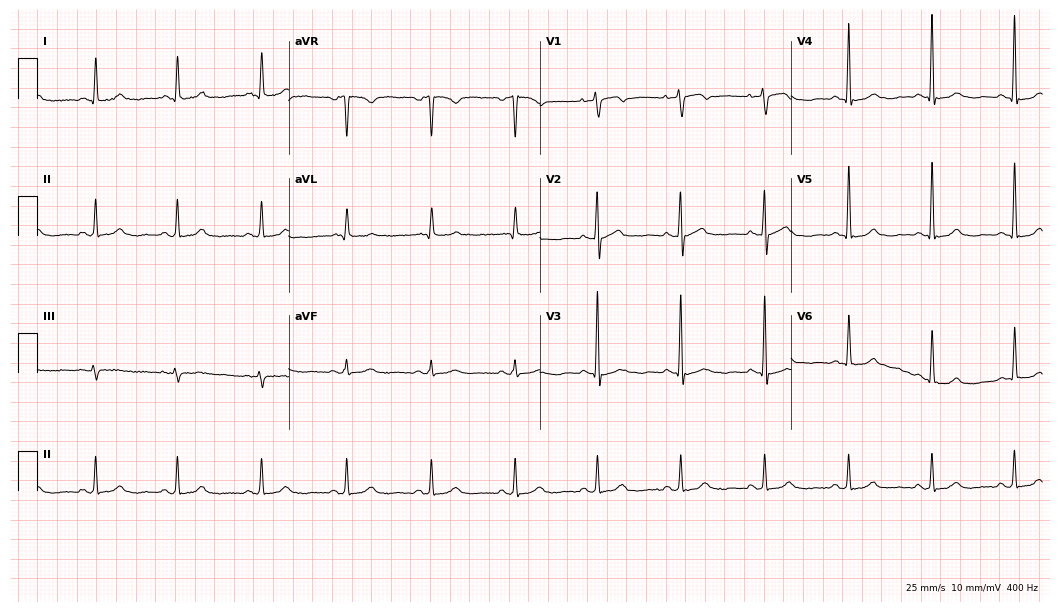
Resting 12-lead electrocardiogram. Patient: a woman, 76 years old. Read as a normal ECG.